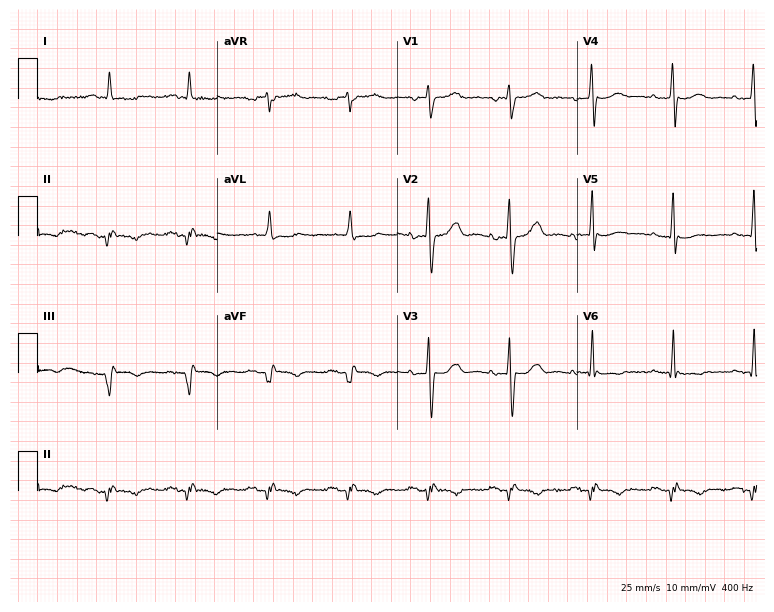
12-lead ECG (7.3-second recording at 400 Hz) from a male, 66 years old. Screened for six findings — first-degree AV block, right bundle branch block, left bundle branch block, sinus bradycardia, atrial fibrillation, sinus tachycardia — none is recorded.